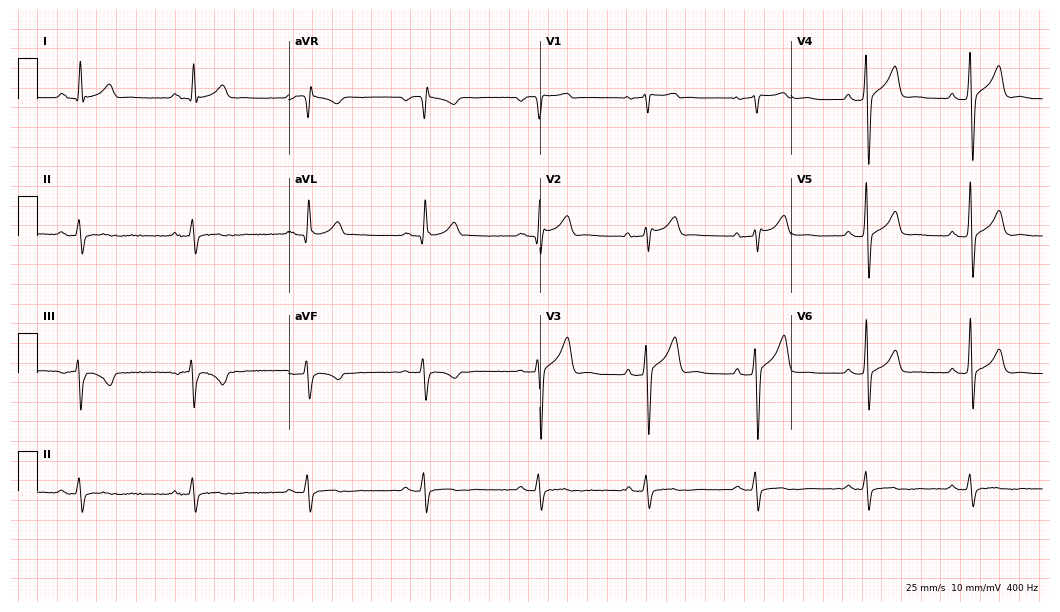
12-lead ECG (10.2-second recording at 400 Hz) from a 56-year-old male. Screened for six findings — first-degree AV block, right bundle branch block, left bundle branch block, sinus bradycardia, atrial fibrillation, sinus tachycardia — none is recorded. Other findings, if any, are not listed.